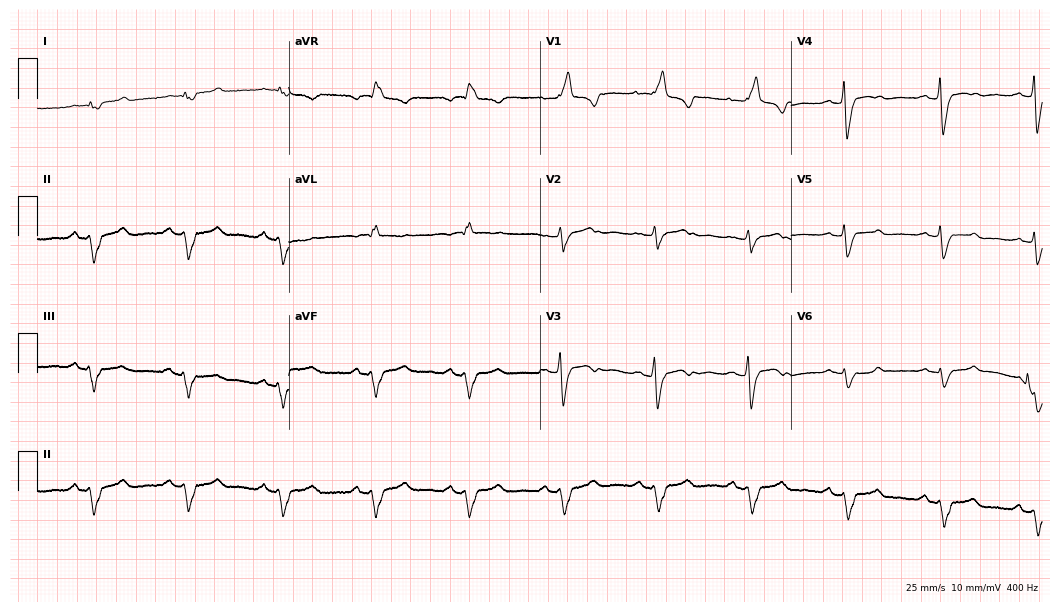
12-lead ECG from a 45-year-old woman (10.2-second recording at 400 Hz). Shows right bundle branch block (RBBB).